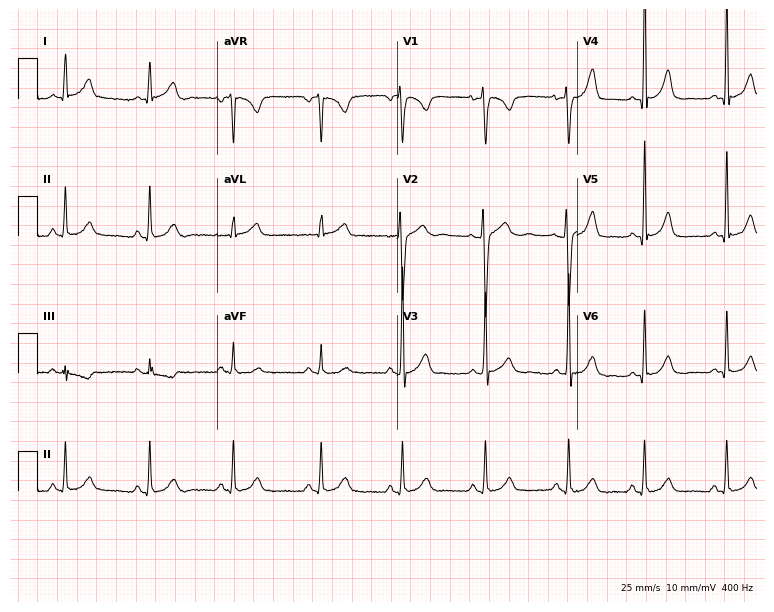
Resting 12-lead electrocardiogram. Patient: a female, 31 years old. Read as a normal ECG.